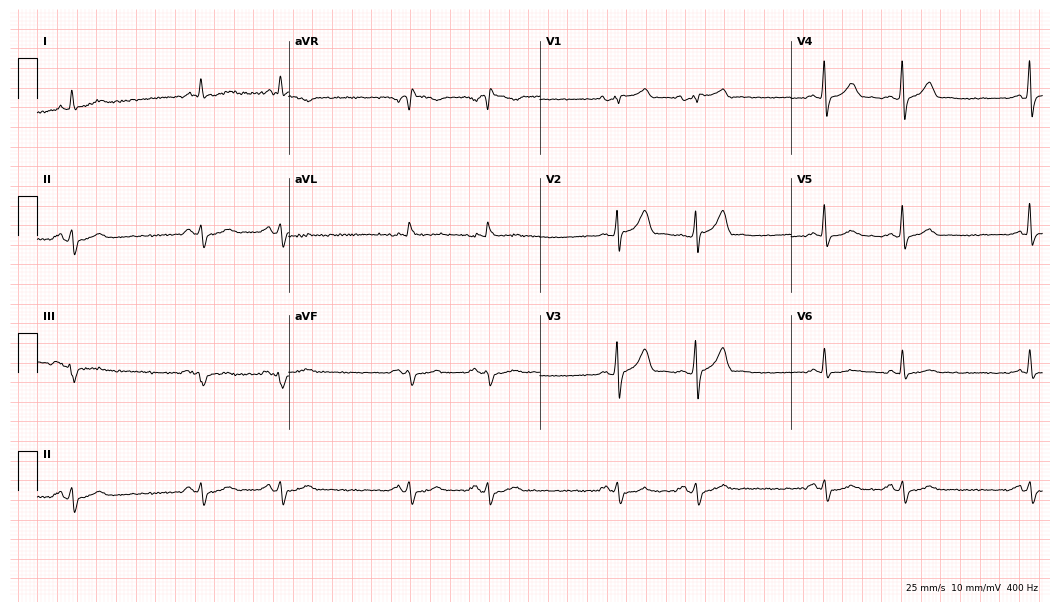
Standard 12-lead ECG recorded from a male, 71 years old (10.2-second recording at 400 Hz). None of these six findings is recorded: first-degree AV block, right bundle branch block, left bundle branch block, sinus bradycardia, atrial fibrillation, sinus tachycardia. Other findings, if any, are not listed.